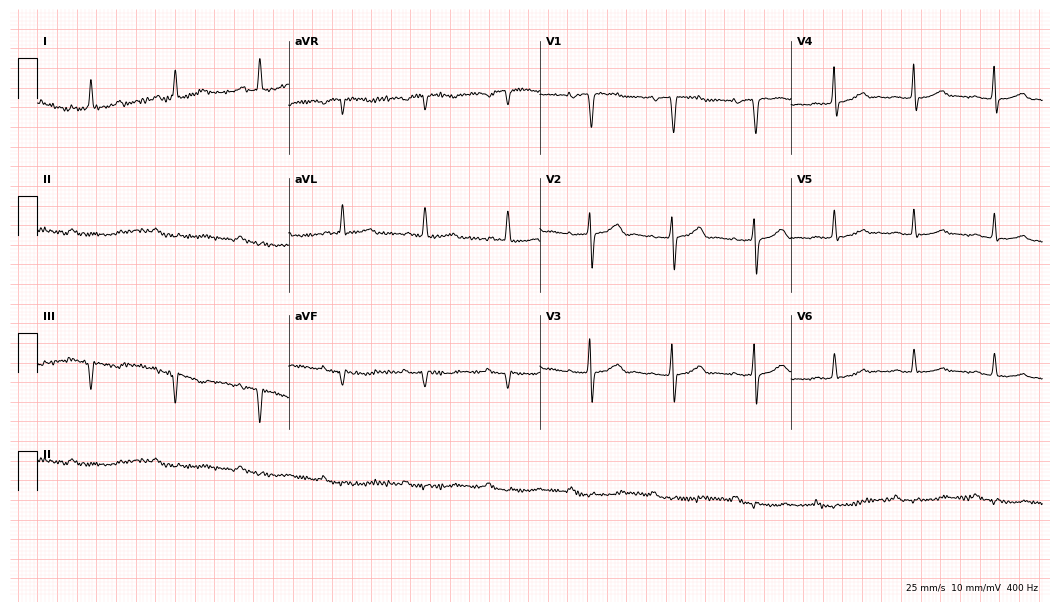
Resting 12-lead electrocardiogram. Patient: a 76-year-old female. None of these six findings is recorded: first-degree AV block, right bundle branch block, left bundle branch block, sinus bradycardia, atrial fibrillation, sinus tachycardia. Only these six findings were labelled.